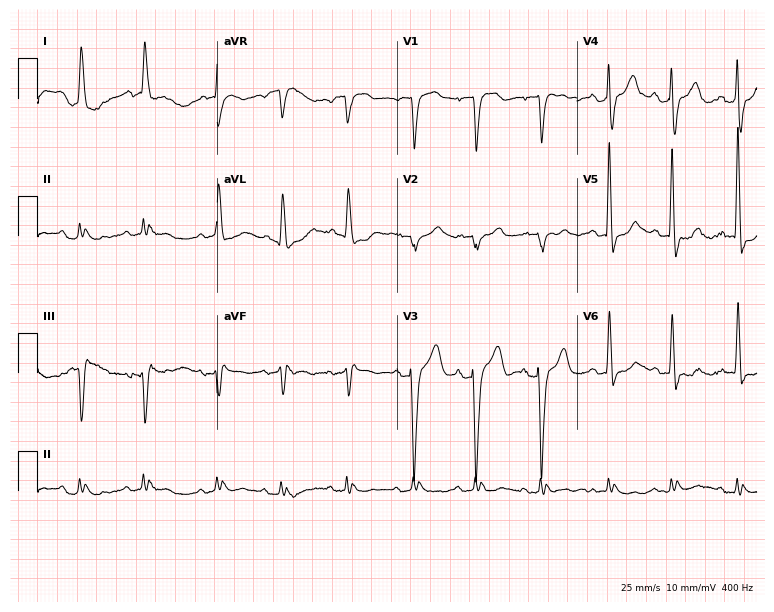
Electrocardiogram (7.3-second recording at 400 Hz), a 77-year-old female patient. Of the six screened findings (first-degree AV block, right bundle branch block (RBBB), left bundle branch block (LBBB), sinus bradycardia, atrial fibrillation (AF), sinus tachycardia), none is recorded.